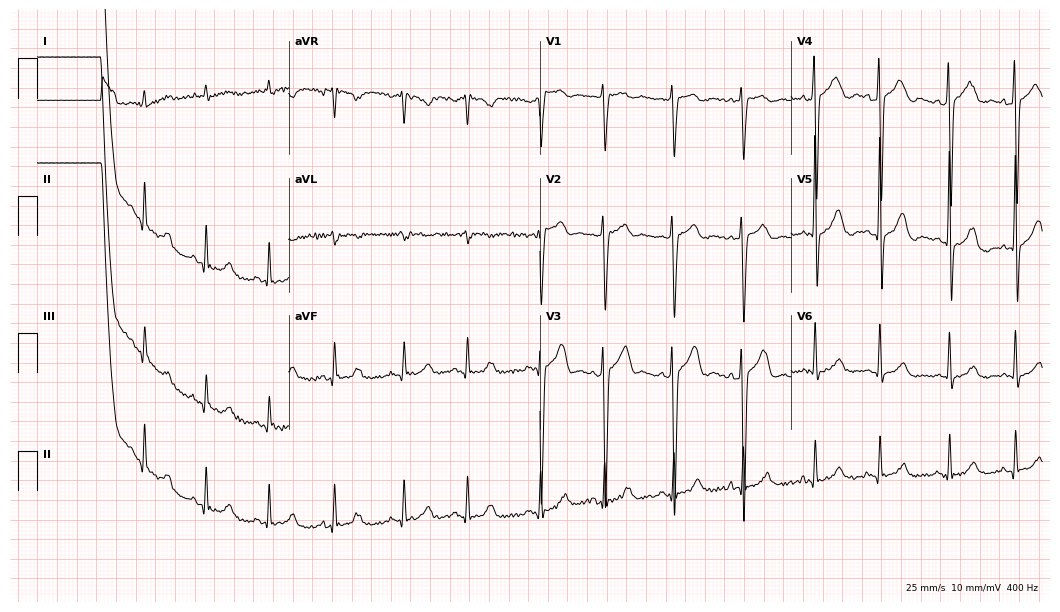
Standard 12-lead ECG recorded from a 57-year-old male patient. None of these six findings is recorded: first-degree AV block, right bundle branch block, left bundle branch block, sinus bradycardia, atrial fibrillation, sinus tachycardia.